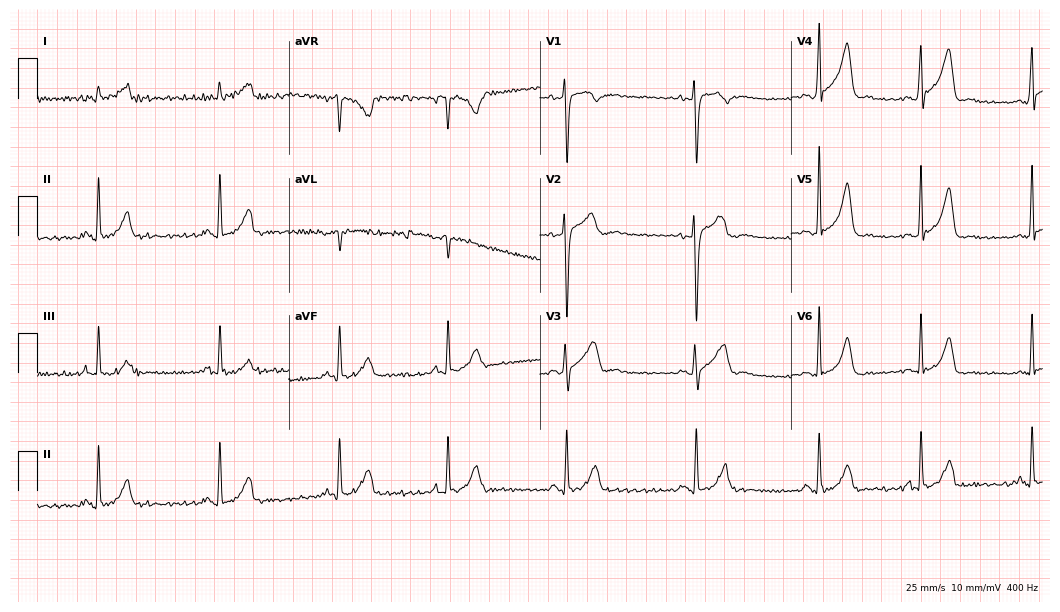
Electrocardiogram, a man, 26 years old. Of the six screened findings (first-degree AV block, right bundle branch block, left bundle branch block, sinus bradycardia, atrial fibrillation, sinus tachycardia), none is recorded. Findings outside these six are not listed.